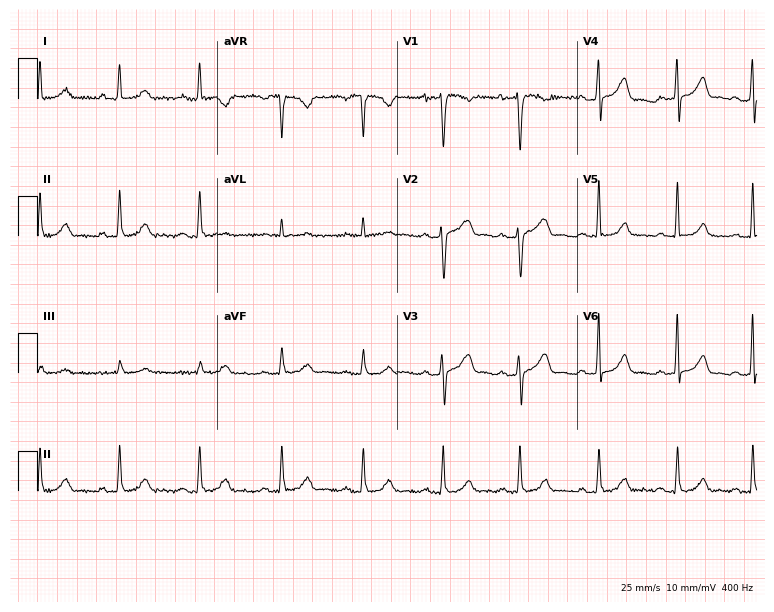
Standard 12-lead ECG recorded from a woman, 47 years old. Read as a normal ECG.